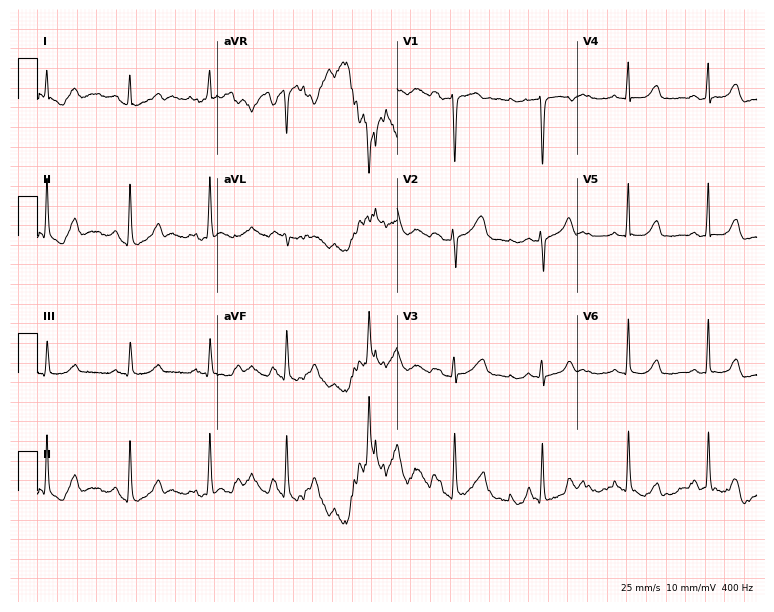
12-lead ECG (7.3-second recording at 400 Hz) from a 40-year-old woman. Screened for six findings — first-degree AV block, right bundle branch block, left bundle branch block, sinus bradycardia, atrial fibrillation, sinus tachycardia — none is recorded.